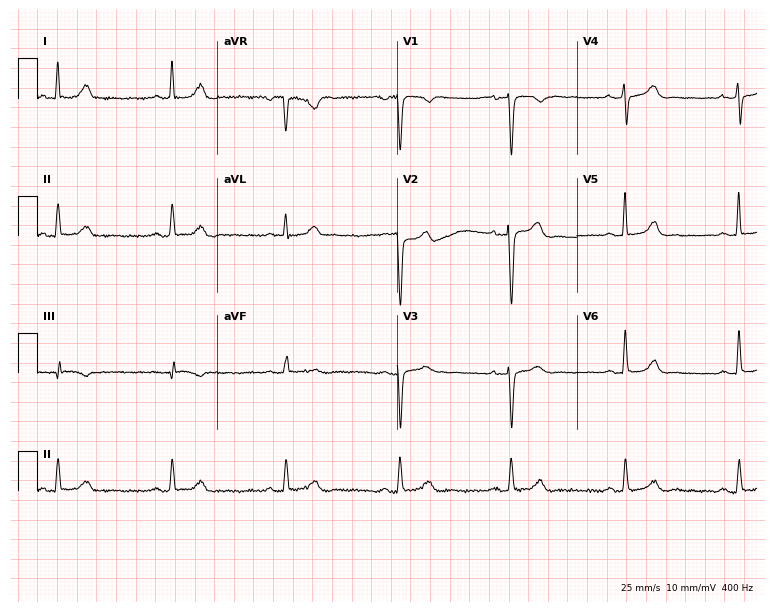
Resting 12-lead electrocardiogram. Patient: a female, 63 years old. None of these six findings is recorded: first-degree AV block, right bundle branch block, left bundle branch block, sinus bradycardia, atrial fibrillation, sinus tachycardia.